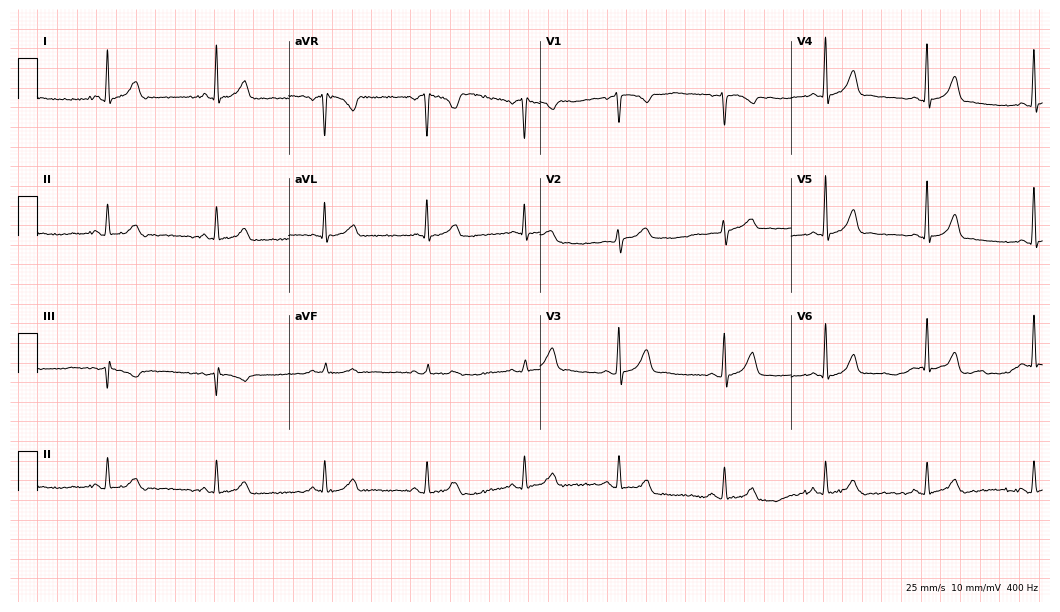
12-lead ECG from a 39-year-old female patient. Labelled as a normal ECG.